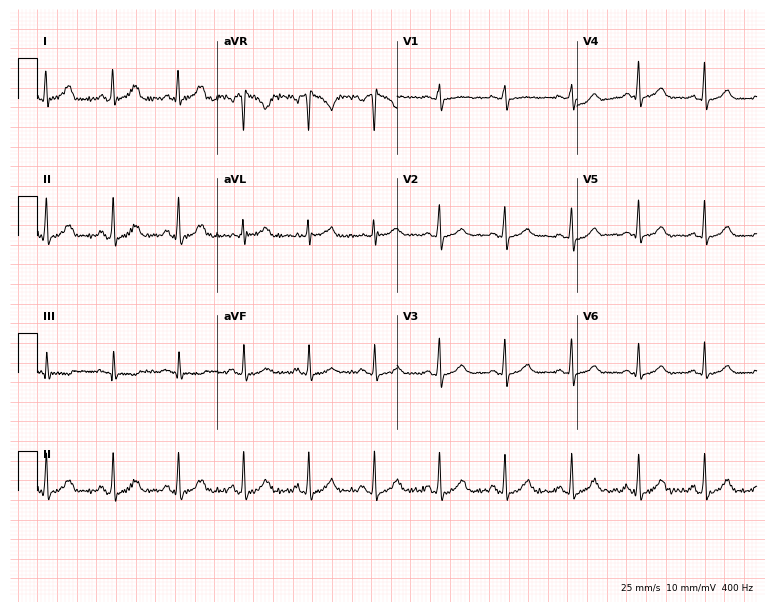
ECG — a female, 50 years old. Labelled as a normal ECG.